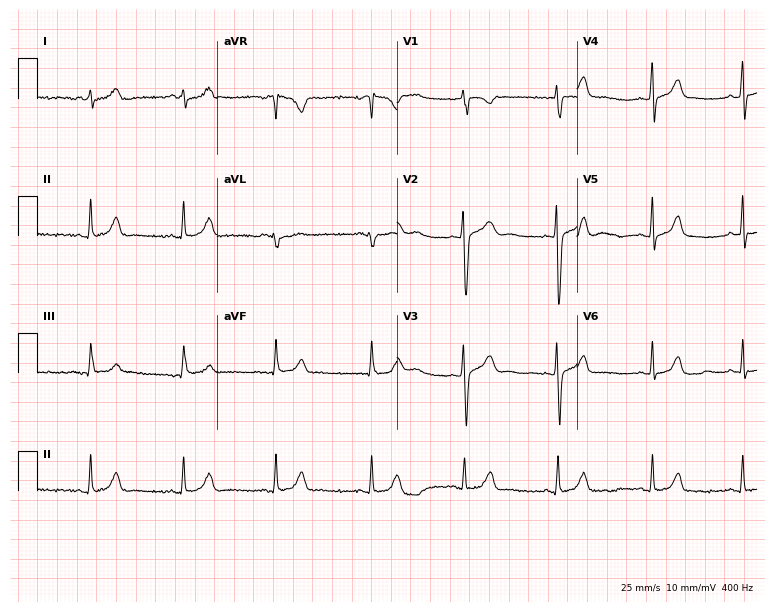
Resting 12-lead electrocardiogram. Patient: a 23-year-old female. Read as a normal ECG.